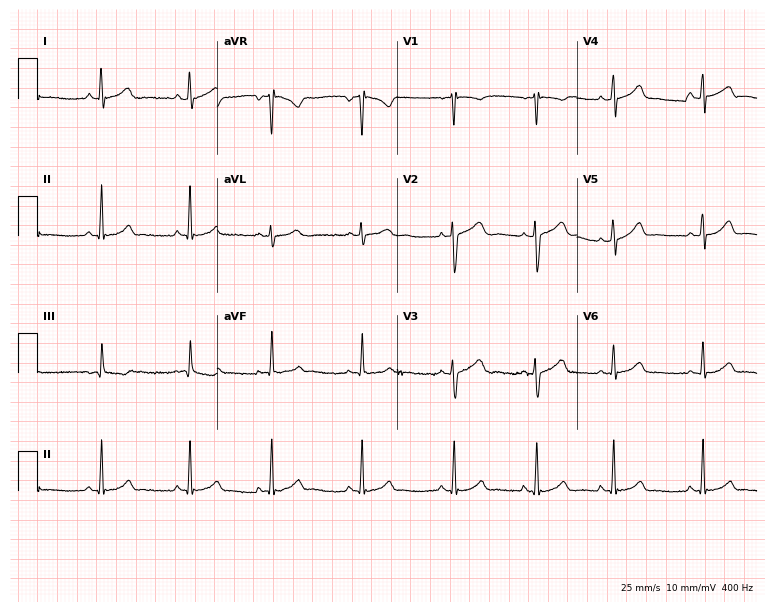
ECG — a male, 20 years old. Screened for six findings — first-degree AV block, right bundle branch block, left bundle branch block, sinus bradycardia, atrial fibrillation, sinus tachycardia — none is recorded.